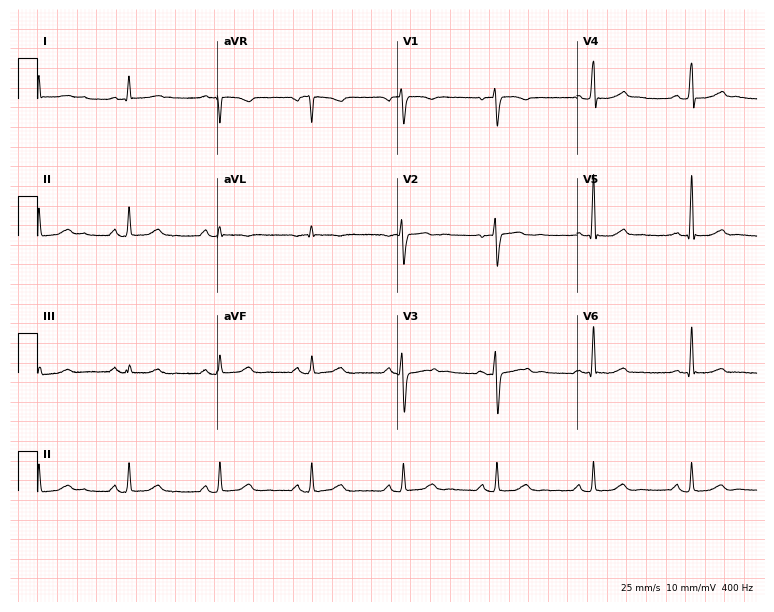
12-lead ECG from a female, 45 years old (7.3-second recording at 400 Hz). No first-degree AV block, right bundle branch block, left bundle branch block, sinus bradycardia, atrial fibrillation or sinus tachycardia recorded for this tracing. Findings outside these six are not listed.